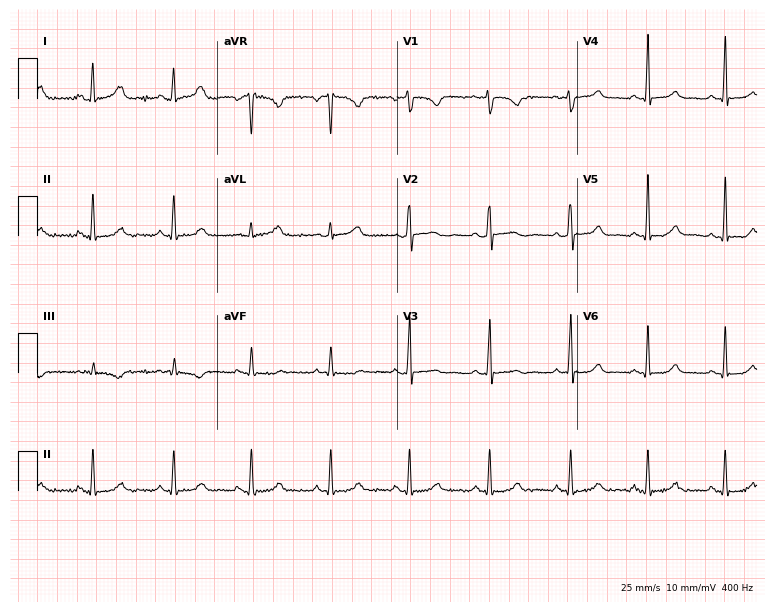
Standard 12-lead ECG recorded from a man, 31 years old (7.3-second recording at 400 Hz). Read as a normal ECG.